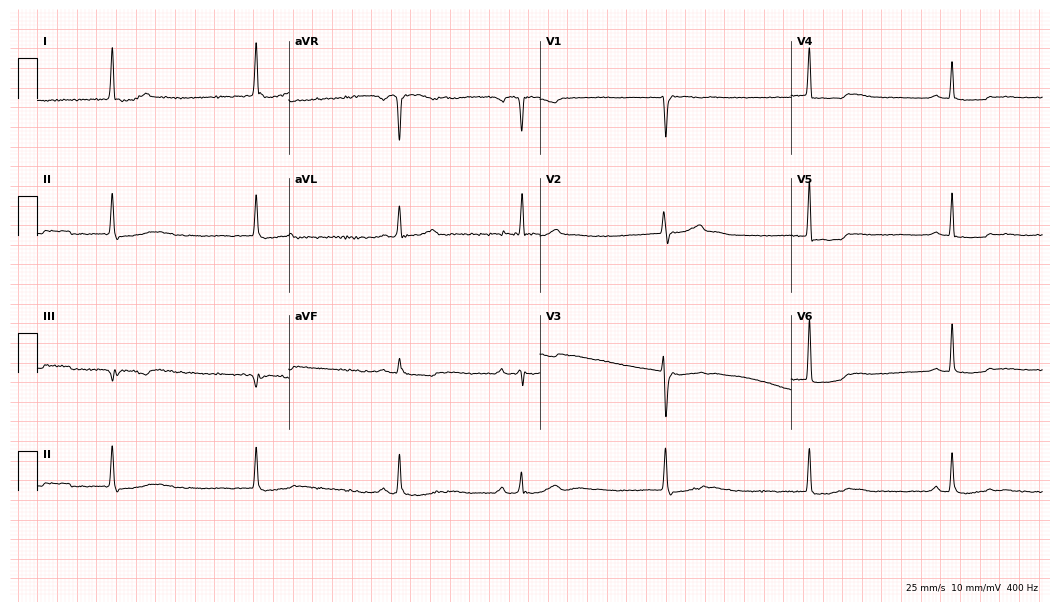
ECG (10.2-second recording at 400 Hz) — a woman, 67 years old. Findings include first-degree AV block.